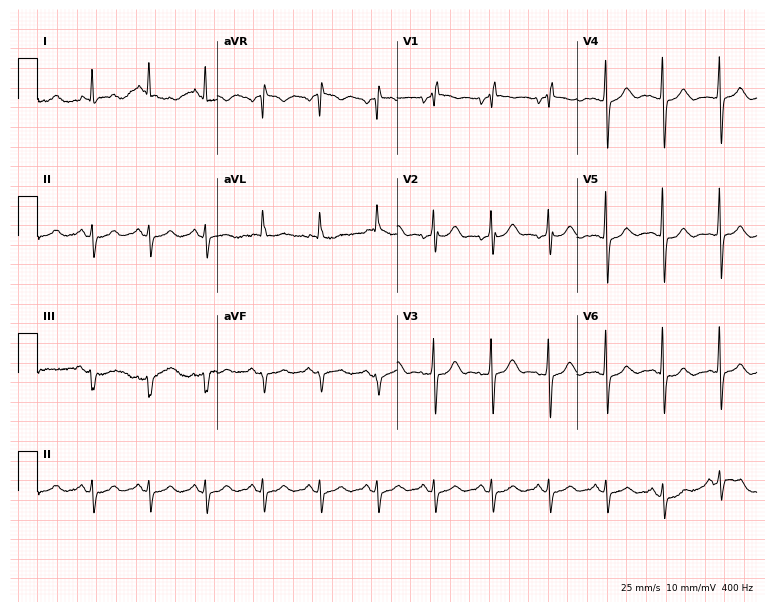
12-lead ECG from an 83-year-old female patient. Screened for six findings — first-degree AV block, right bundle branch block, left bundle branch block, sinus bradycardia, atrial fibrillation, sinus tachycardia — none is recorded. Findings outside these six are not listed.